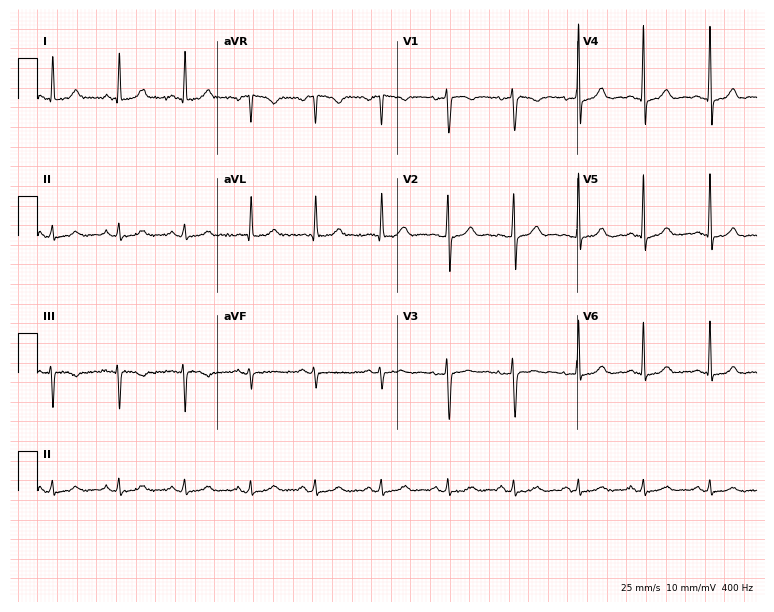
Electrocardiogram (7.3-second recording at 400 Hz), a female, 53 years old. Overall reading on record: normal ECG.